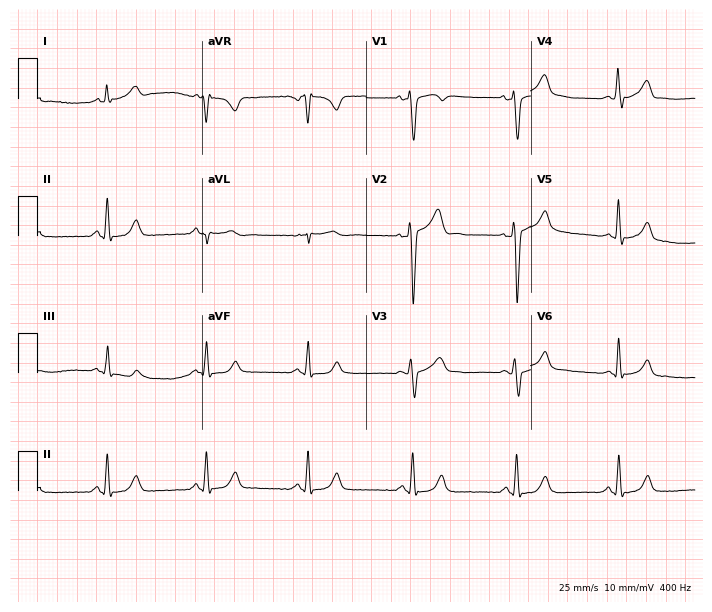
Electrocardiogram (6.7-second recording at 400 Hz), a 41-year-old male. Overall reading on record: normal ECG.